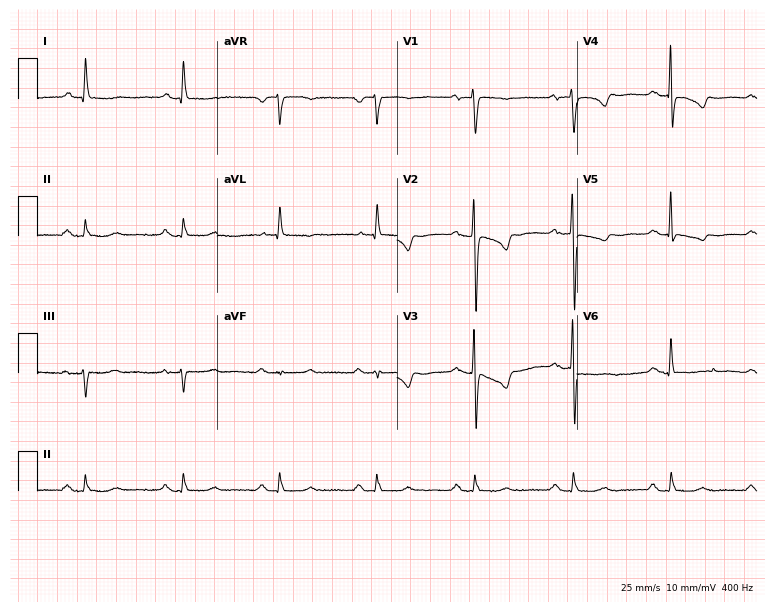
Resting 12-lead electrocardiogram (7.3-second recording at 400 Hz). Patient: a 75-year-old woman. The tracing shows first-degree AV block.